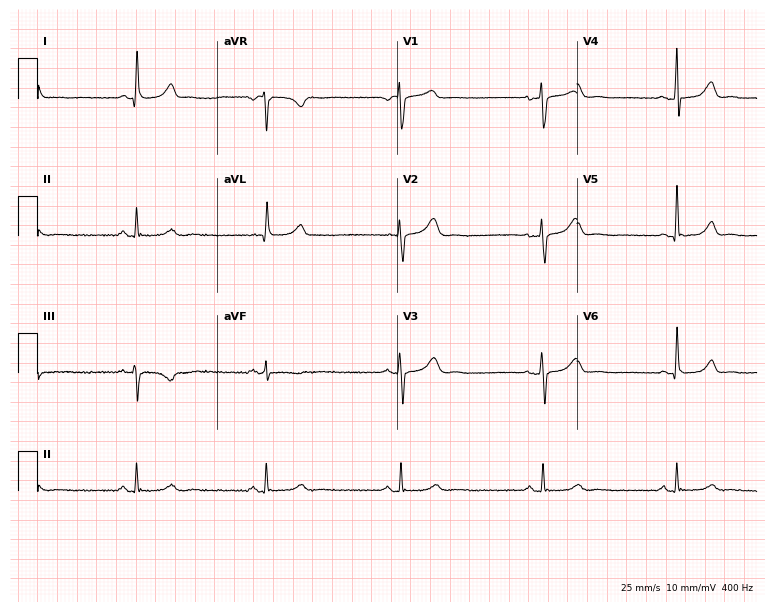
12-lead ECG from a female patient, 57 years old. Shows sinus bradycardia (a sinus rate of 50 beats per minute or less).